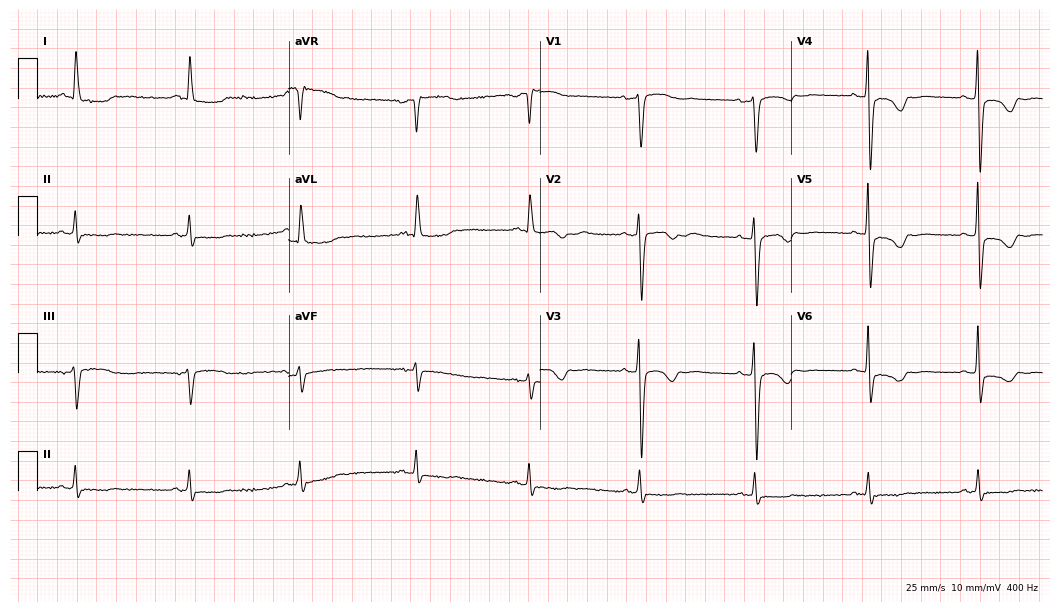
12-lead ECG from a female patient, 53 years old. Screened for six findings — first-degree AV block, right bundle branch block, left bundle branch block, sinus bradycardia, atrial fibrillation, sinus tachycardia — none is recorded.